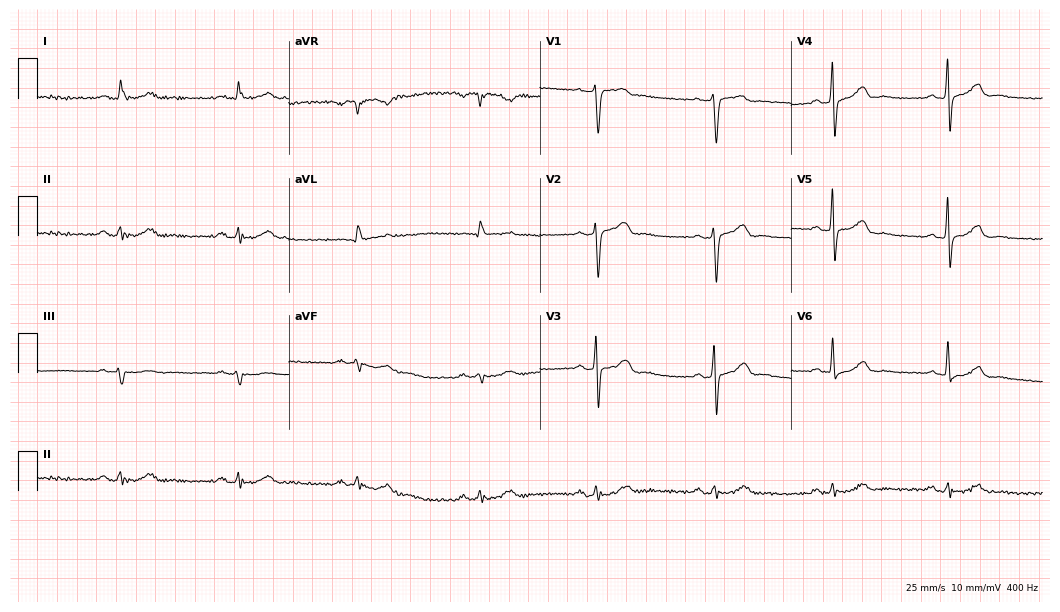
12-lead ECG from a male patient, 70 years old (10.2-second recording at 400 Hz). Recorded interpretation: within normal limits.